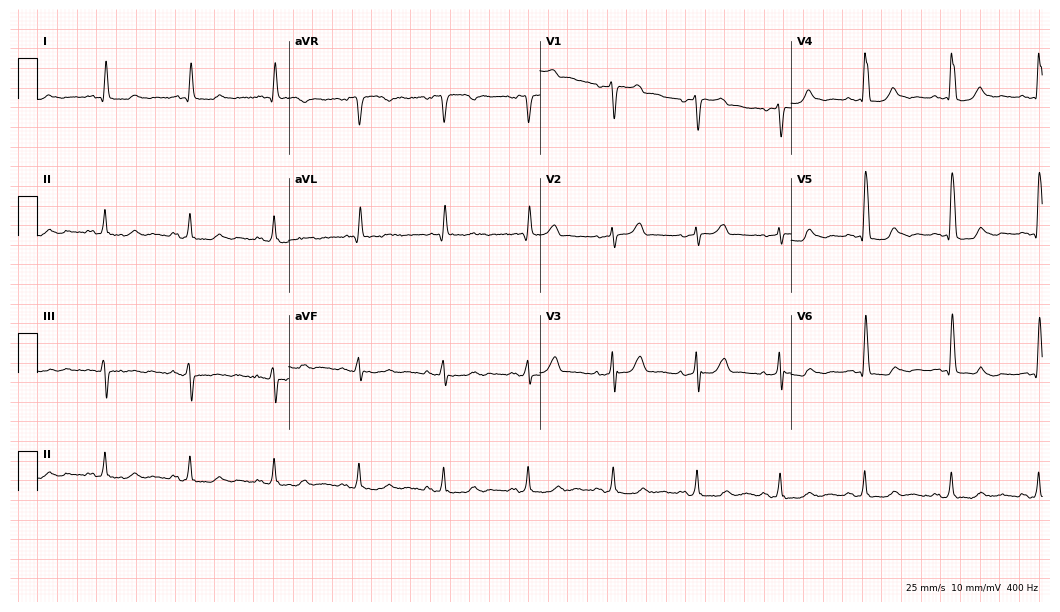
Electrocardiogram, a male patient, 46 years old. Of the six screened findings (first-degree AV block, right bundle branch block, left bundle branch block, sinus bradycardia, atrial fibrillation, sinus tachycardia), none is recorded. Findings outside these six are not listed.